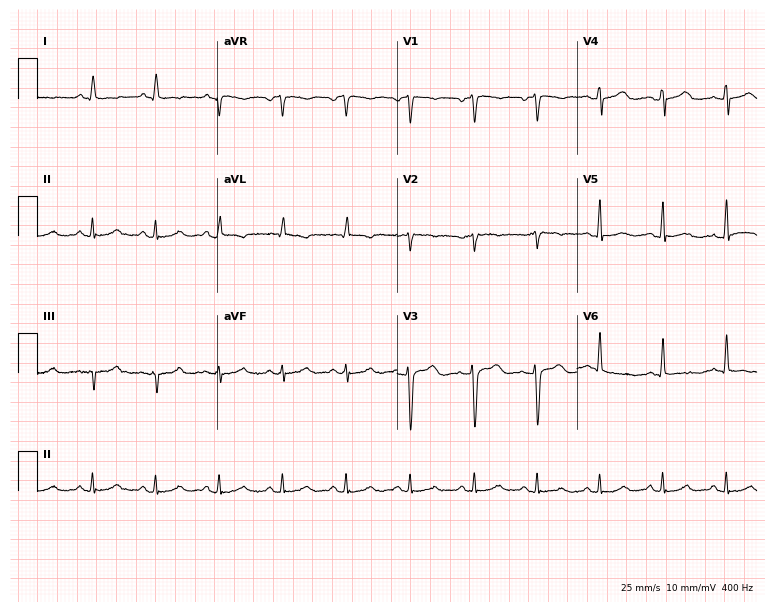
ECG (7.3-second recording at 400 Hz) — a female, 45 years old. Screened for six findings — first-degree AV block, right bundle branch block, left bundle branch block, sinus bradycardia, atrial fibrillation, sinus tachycardia — none is recorded.